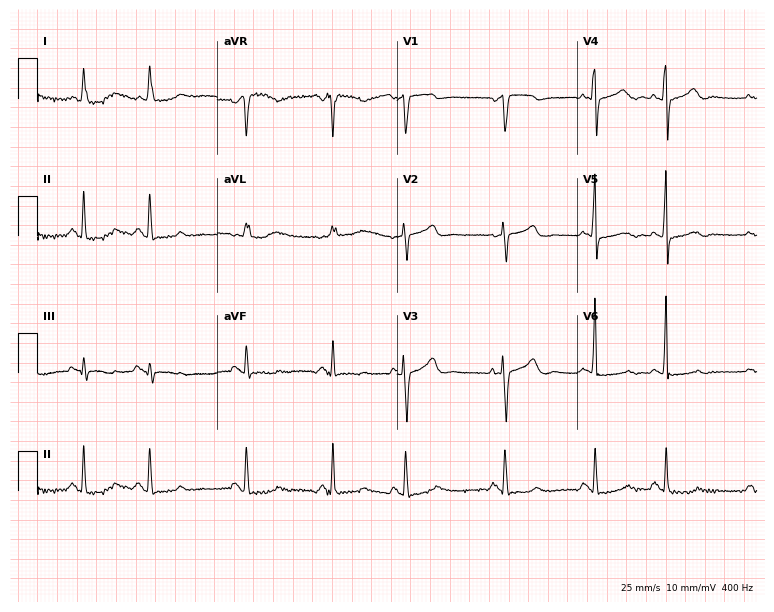
12-lead ECG from a 72-year-old woman. Recorded interpretation: within normal limits.